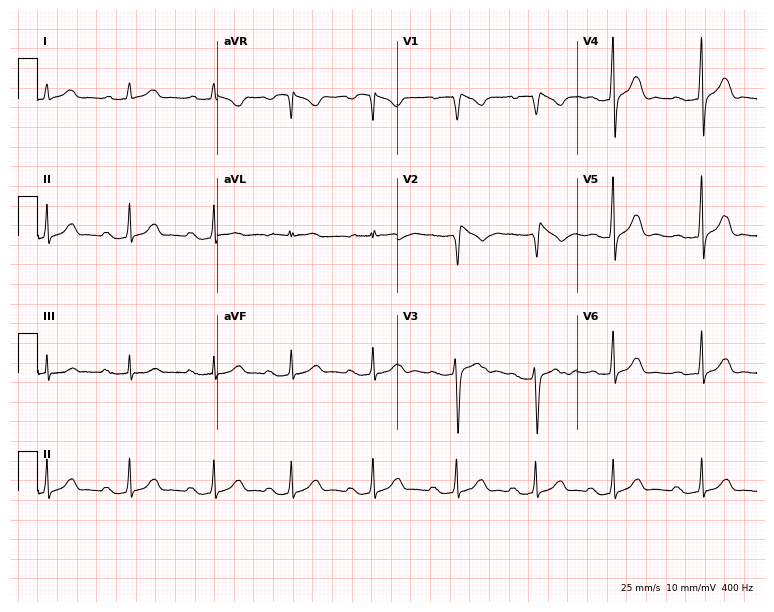
Electrocardiogram, a woman, 19 years old. Interpretation includes first-degree AV block.